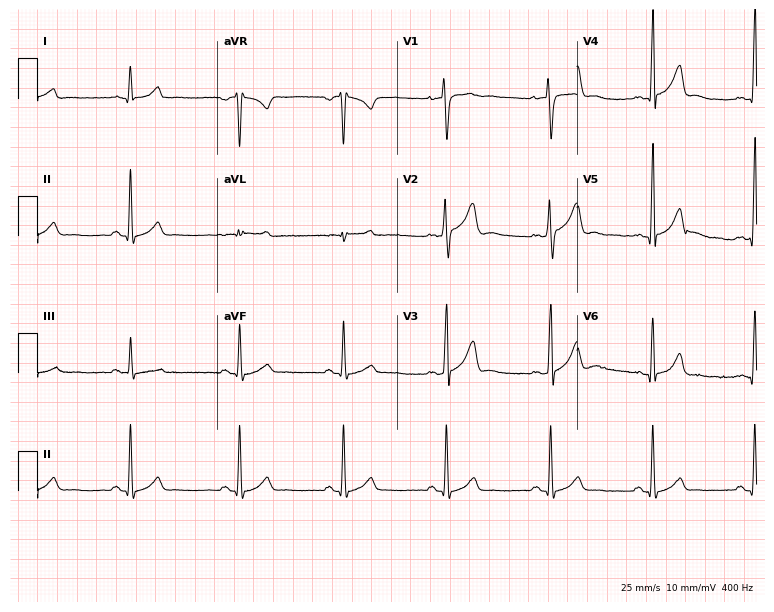
Resting 12-lead electrocardiogram. Patient: a man, 22 years old. Read as a normal ECG.